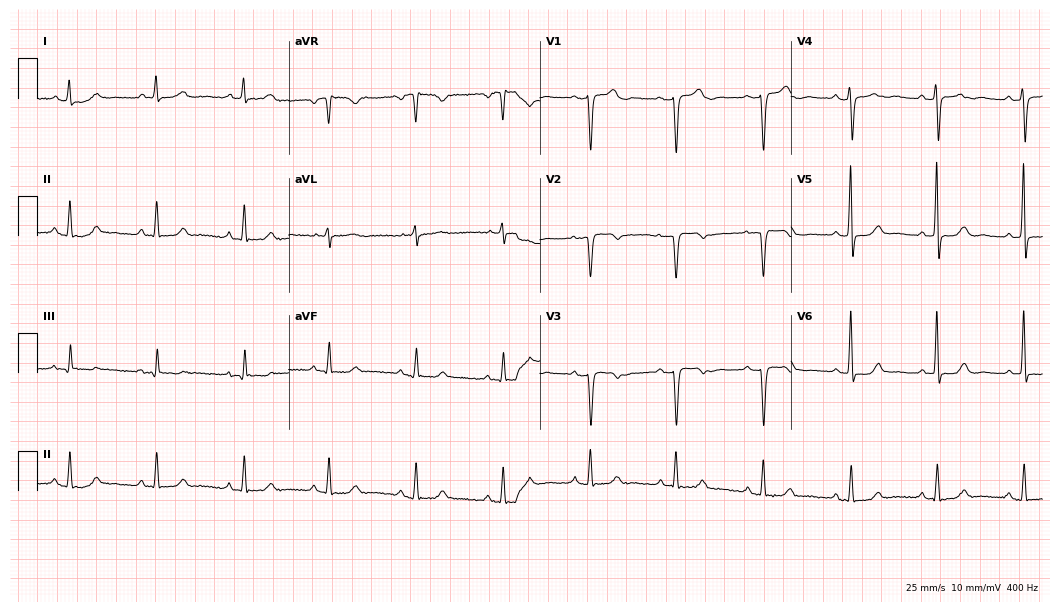
ECG (10.2-second recording at 400 Hz) — a female, 66 years old. Labelled as a normal ECG.